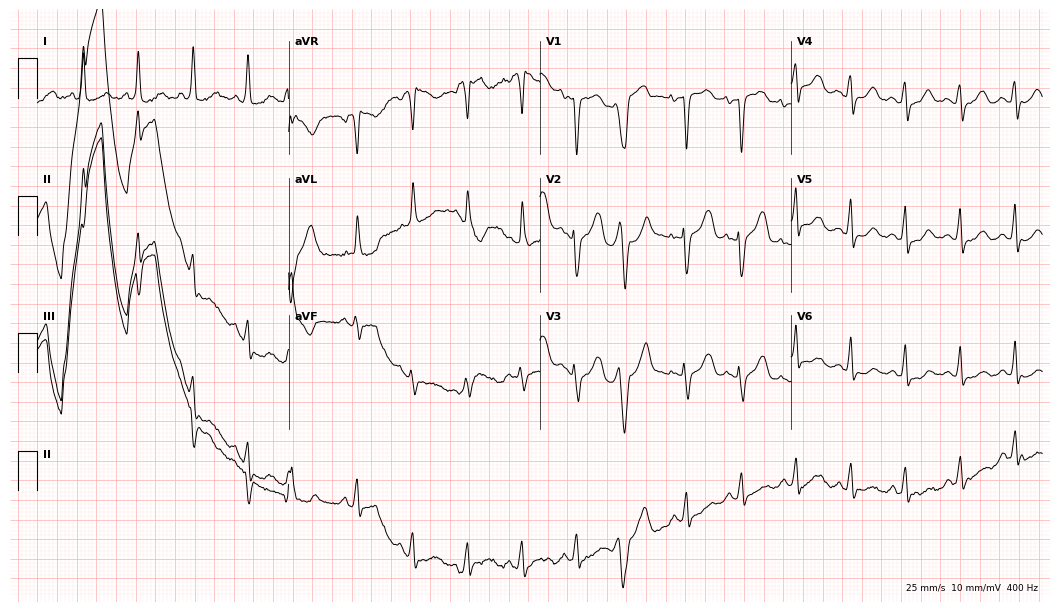
Standard 12-lead ECG recorded from an 83-year-old female. None of these six findings is recorded: first-degree AV block, right bundle branch block, left bundle branch block, sinus bradycardia, atrial fibrillation, sinus tachycardia.